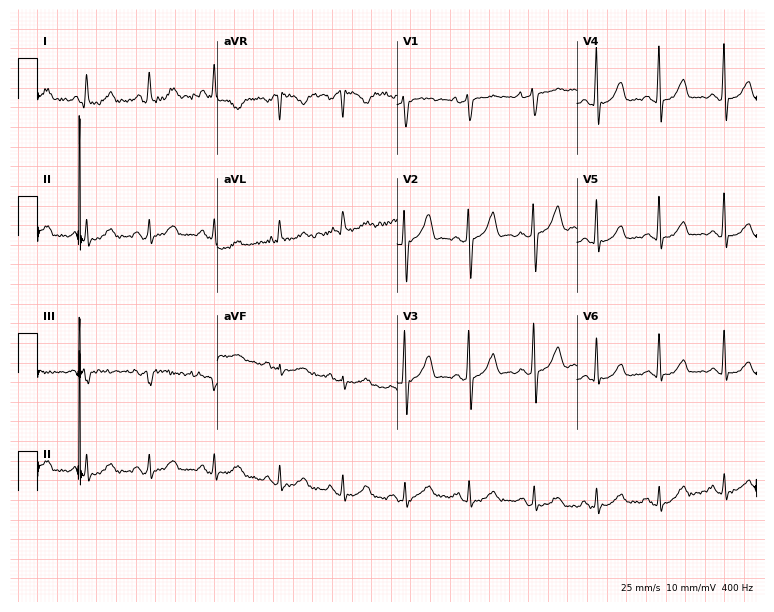
12-lead ECG from a 64-year-old female patient. Screened for six findings — first-degree AV block, right bundle branch block, left bundle branch block, sinus bradycardia, atrial fibrillation, sinus tachycardia — none is recorded.